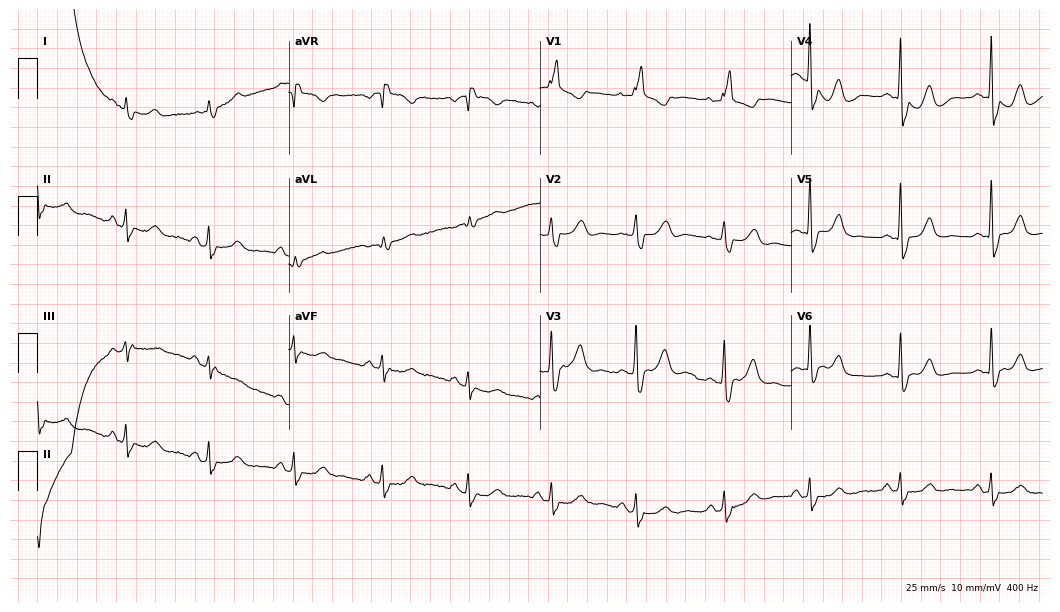
Electrocardiogram, a female patient, 75 years old. Of the six screened findings (first-degree AV block, right bundle branch block, left bundle branch block, sinus bradycardia, atrial fibrillation, sinus tachycardia), none is recorded.